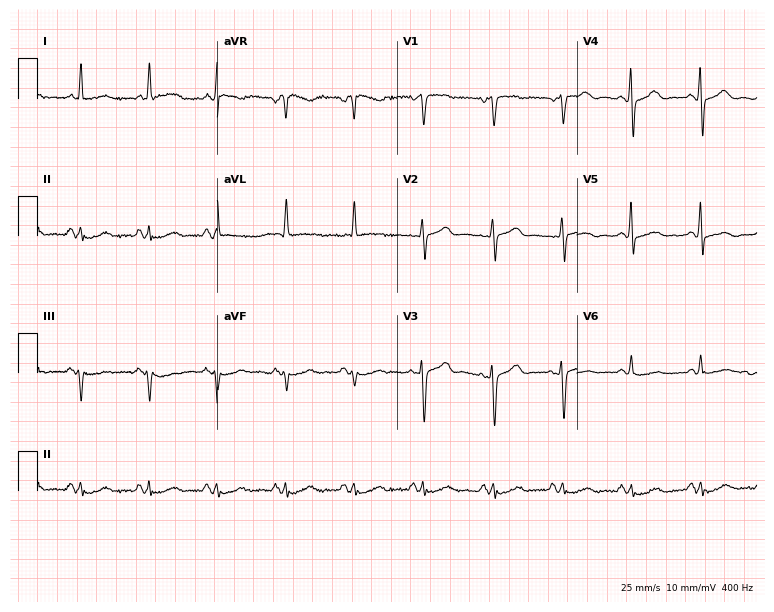
Resting 12-lead electrocardiogram. Patient: a woman, 67 years old. None of these six findings is recorded: first-degree AV block, right bundle branch block, left bundle branch block, sinus bradycardia, atrial fibrillation, sinus tachycardia.